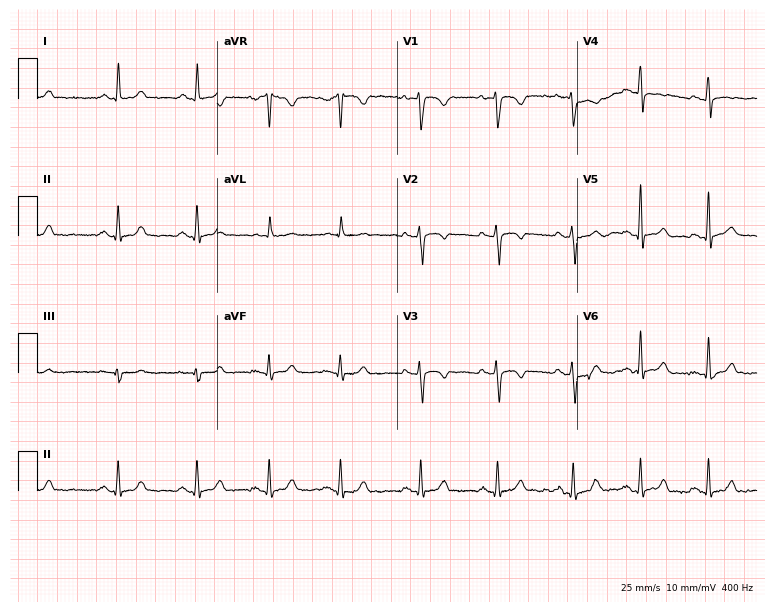
ECG (7.3-second recording at 400 Hz) — a woman, 37 years old. Screened for six findings — first-degree AV block, right bundle branch block (RBBB), left bundle branch block (LBBB), sinus bradycardia, atrial fibrillation (AF), sinus tachycardia — none is recorded. Findings outside these six are not listed.